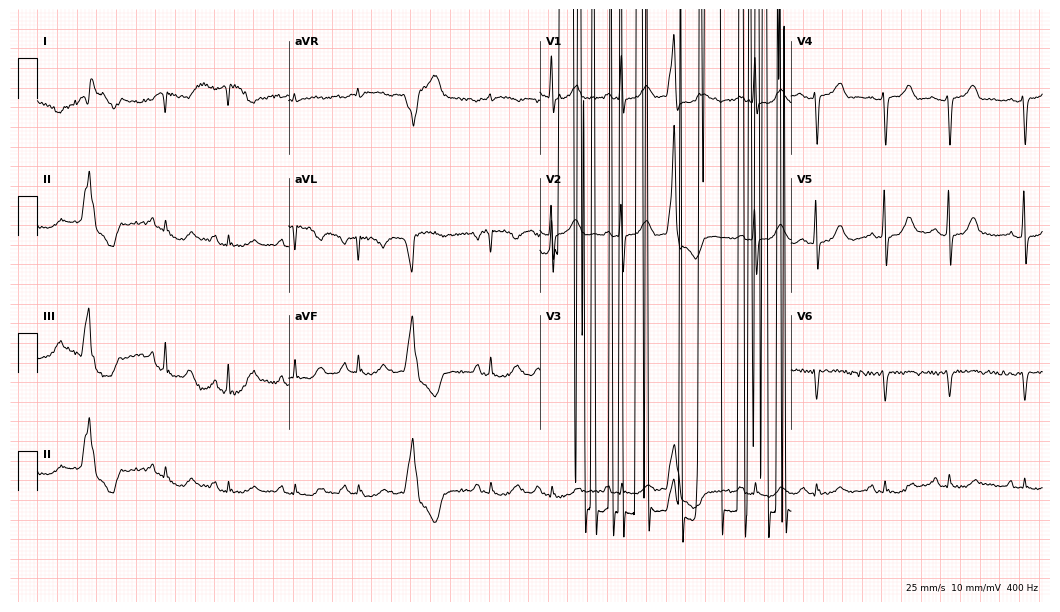
Standard 12-lead ECG recorded from a woman, 63 years old. None of these six findings is recorded: first-degree AV block, right bundle branch block (RBBB), left bundle branch block (LBBB), sinus bradycardia, atrial fibrillation (AF), sinus tachycardia.